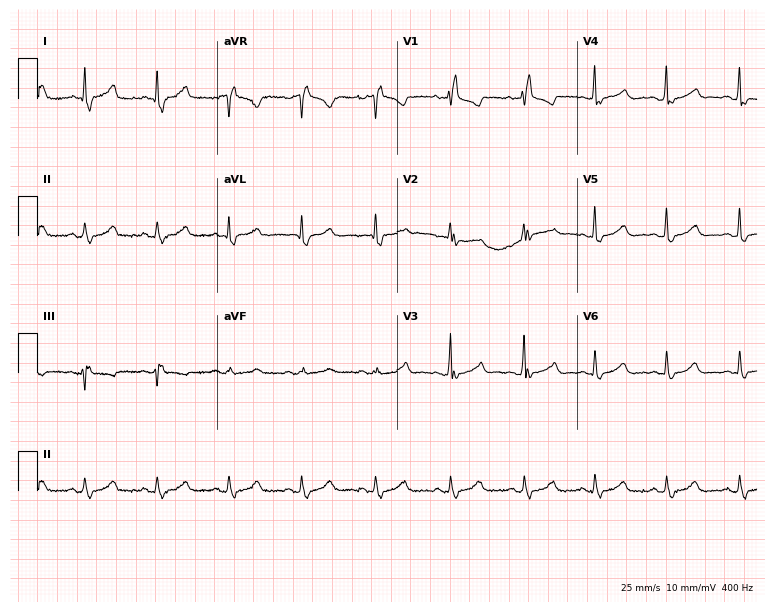
Electrocardiogram, a 53-year-old female. Of the six screened findings (first-degree AV block, right bundle branch block, left bundle branch block, sinus bradycardia, atrial fibrillation, sinus tachycardia), none is recorded. Findings outside these six are not listed.